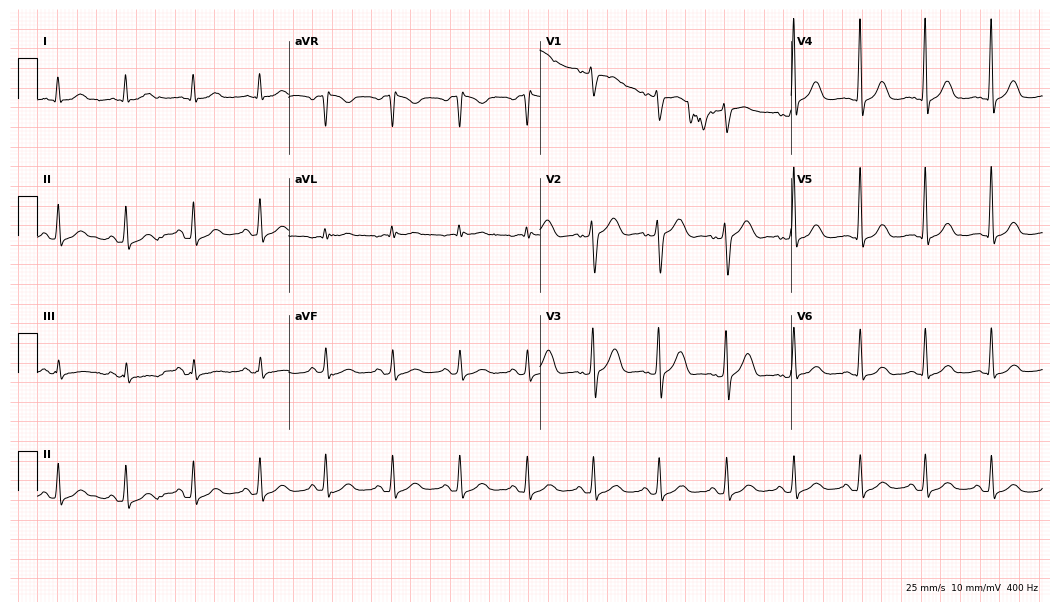
ECG — a man, 65 years old. Screened for six findings — first-degree AV block, right bundle branch block, left bundle branch block, sinus bradycardia, atrial fibrillation, sinus tachycardia — none is recorded.